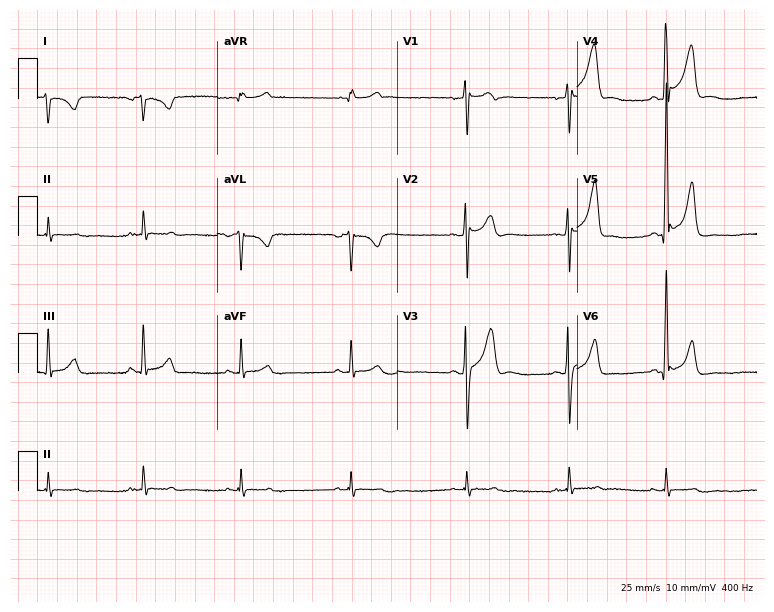
ECG (7.3-second recording at 400 Hz) — a 28-year-old male patient. Screened for six findings — first-degree AV block, right bundle branch block, left bundle branch block, sinus bradycardia, atrial fibrillation, sinus tachycardia — none is recorded. Other findings, if any, are not listed.